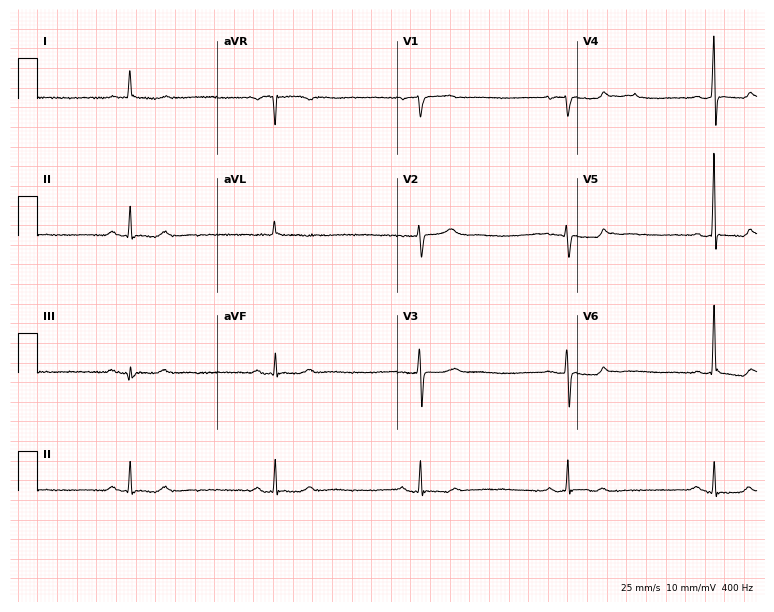
Resting 12-lead electrocardiogram. Patient: a woman, 68 years old. None of these six findings is recorded: first-degree AV block, right bundle branch block, left bundle branch block, sinus bradycardia, atrial fibrillation, sinus tachycardia. Only these six findings were labelled.